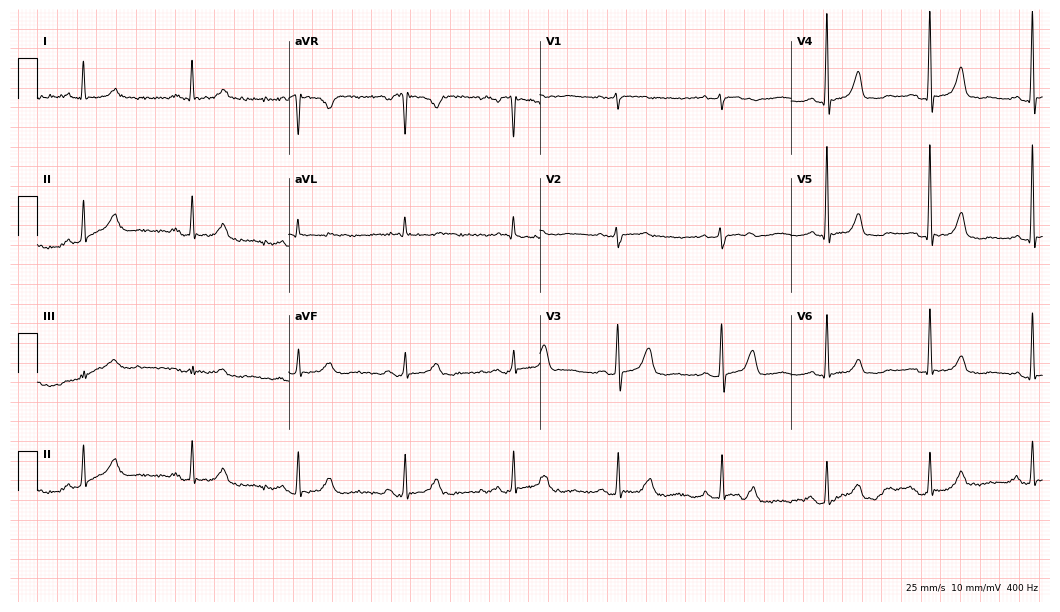
12-lead ECG (10.2-second recording at 400 Hz) from a 72-year-old female patient. Labelled as a normal ECG.